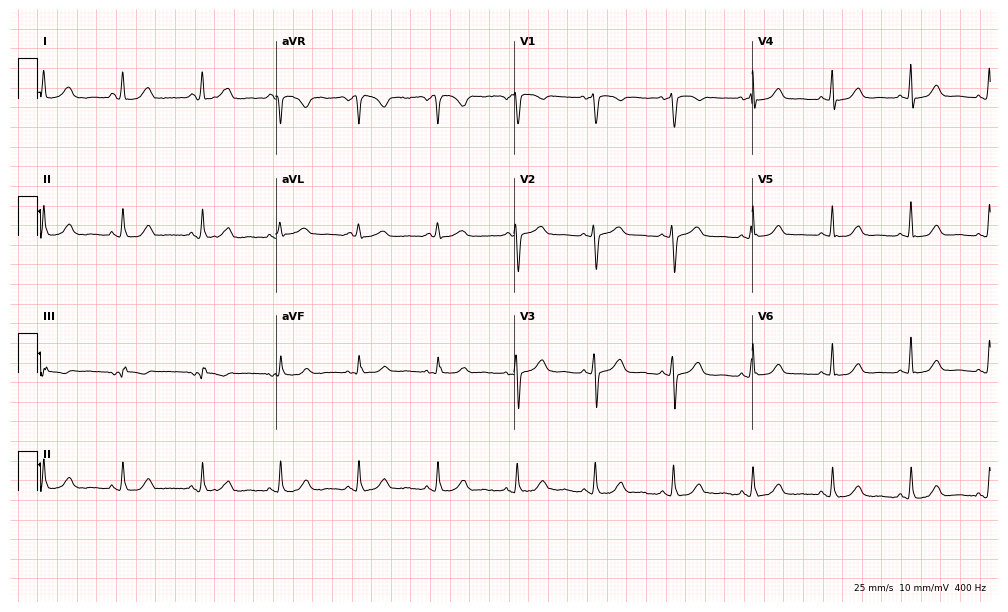
Standard 12-lead ECG recorded from a 51-year-old female. Read as a normal ECG.